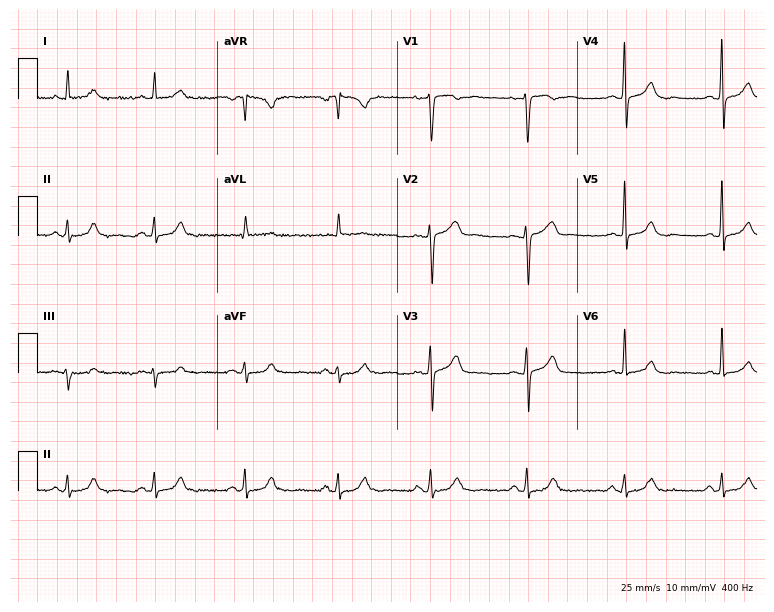
12-lead ECG from a female patient, 55 years old. Labelled as a normal ECG.